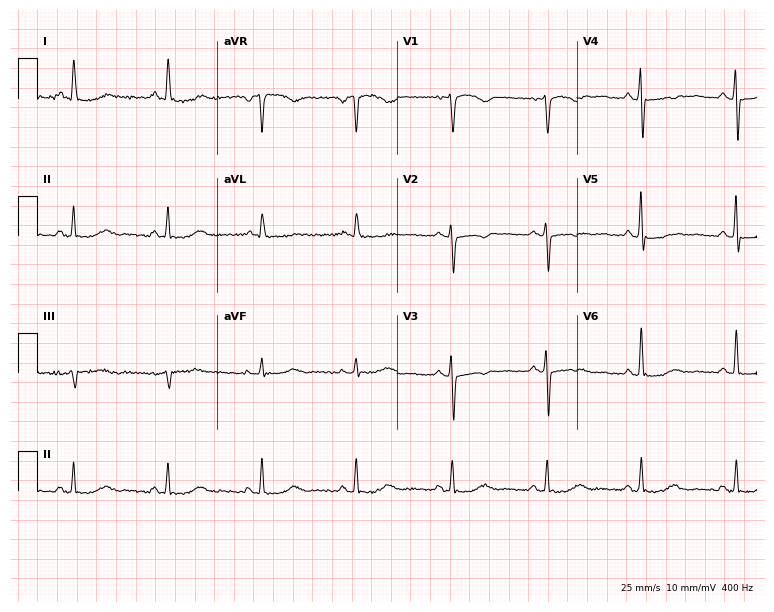
Electrocardiogram (7.3-second recording at 400 Hz), a 55-year-old female patient. Of the six screened findings (first-degree AV block, right bundle branch block, left bundle branch block, sinus bradycardia, atrial fibrillation, sinus tachycardia), none is recorded.